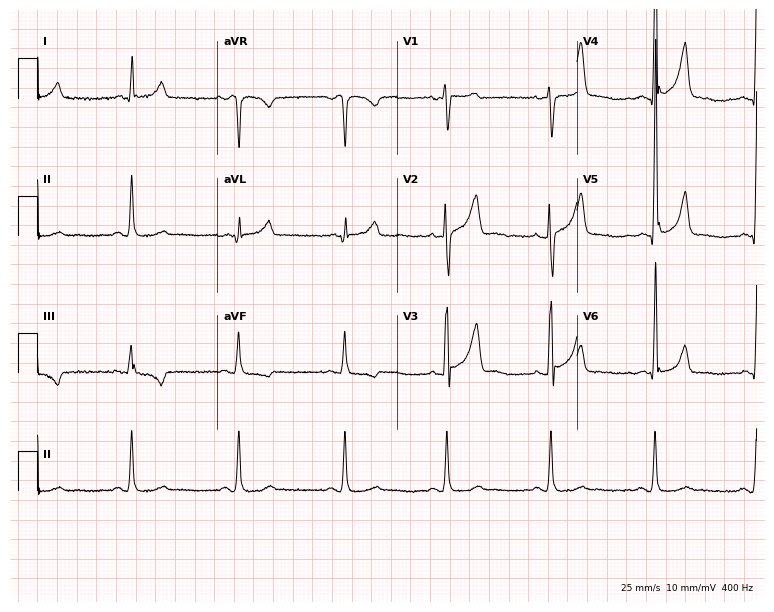
12-lead ECG from a 44-year-old male patient (7.3-second recording at 400 Hz). No first-degree AV block, right bundle branch block (RBBB), left bundle branch block (LBBB), sinus bradycardia, atrial fibrillation (AF) or sinus tachycardia recorded for this tracing.